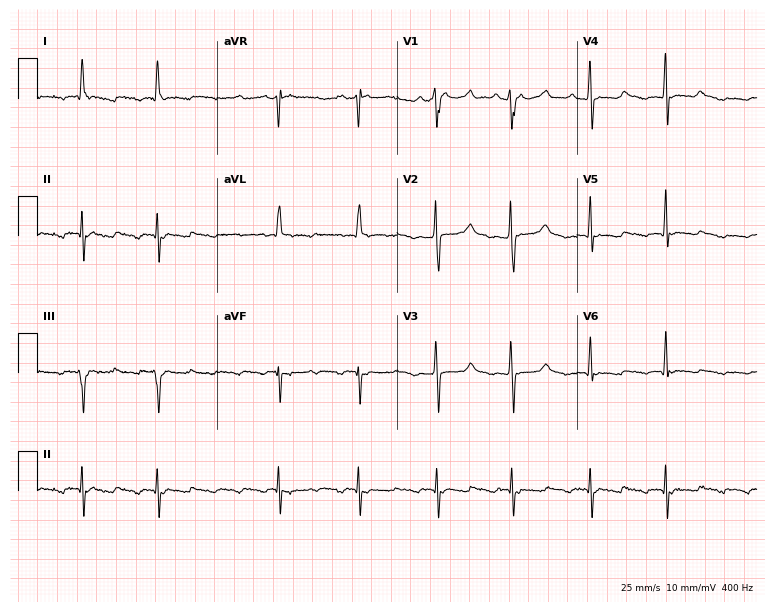
ECG (7.3-second recording at 400 Hz) — an 80-year-old man. Findings include atrial fibrillation.